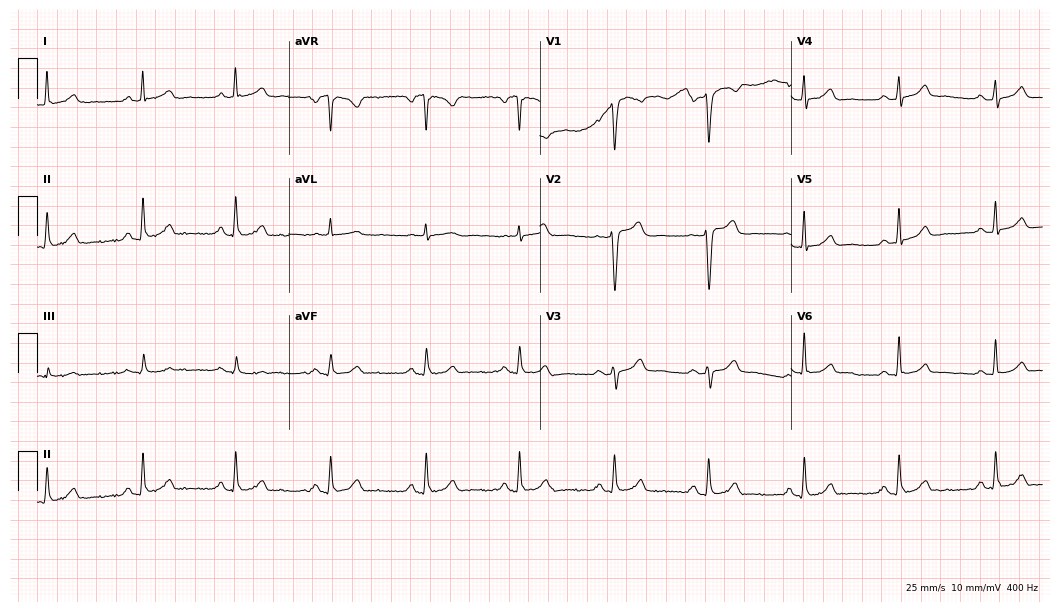
Electrocardiogram (10.2-second recording at 400 Hz), a 51-year-old woman. Overall reading on record: normal ECG.